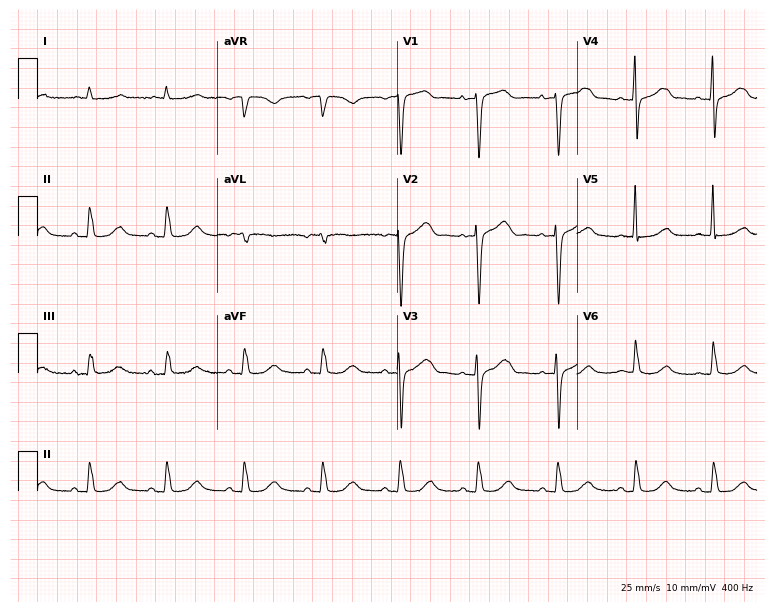
ECG — an 83-year-old woman. Screened for six findings — first-degree AV block, right bundle branch block, left bundle branch block, sinus bradycardia, atrial fibrillation, sinus tachycardia — none is recorded. Findings outside these six are not listed.